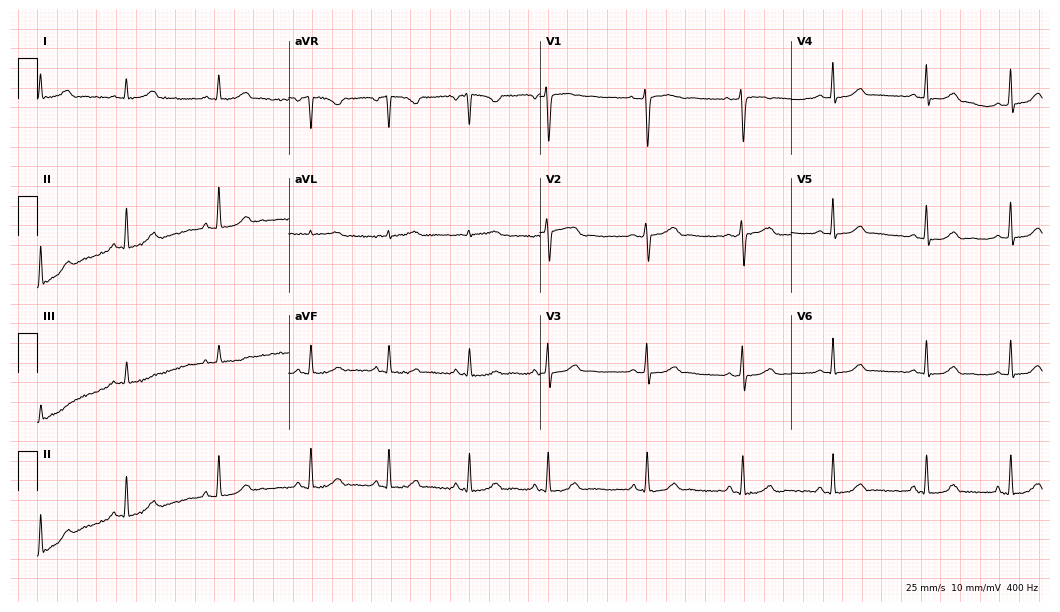
Electrocardiogram (10.2-second recording at 400 Hz), a female patient, 39 years old. Of the six screened findings (first-degree AV block, right bundle branch block, left bundle branch block, sinus bradycardia, atrial fibrillation, sinus tachycardia), none is recorded. Other findings, if any, are not listed.